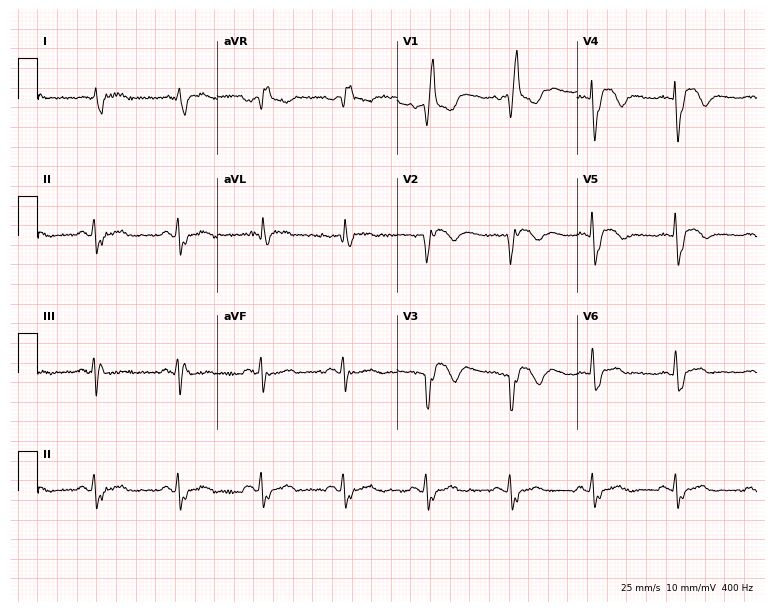
Electrocardiogram (7.3-second recording at 400 Hz), a male, 78 years old. Interpretation includes right bundle branch block.